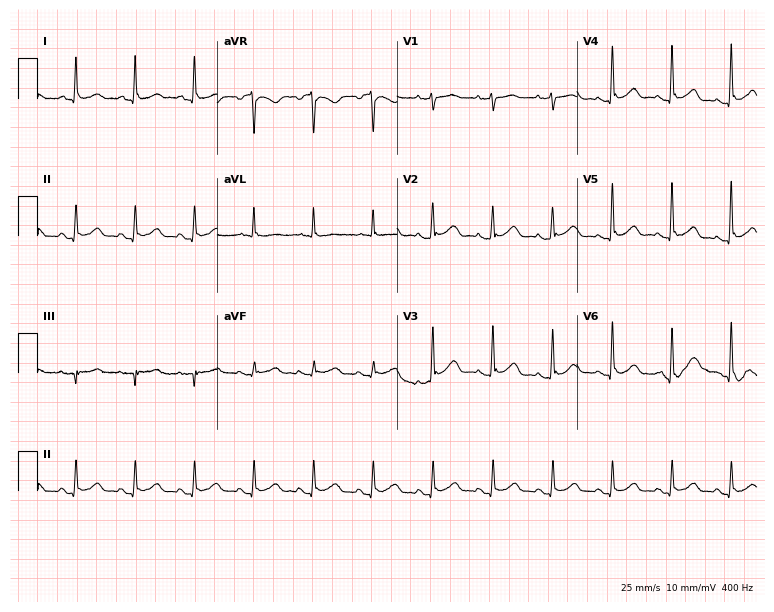
12-lead ECG from a 57-year-old woman. Screened for six findings — first-degree AV block, right bundle branch block, left bundle branch block, sinus bradycardia, atrial fibrillation, sinus tachycardia — none is recorded. Other findings, if any, are not listed.